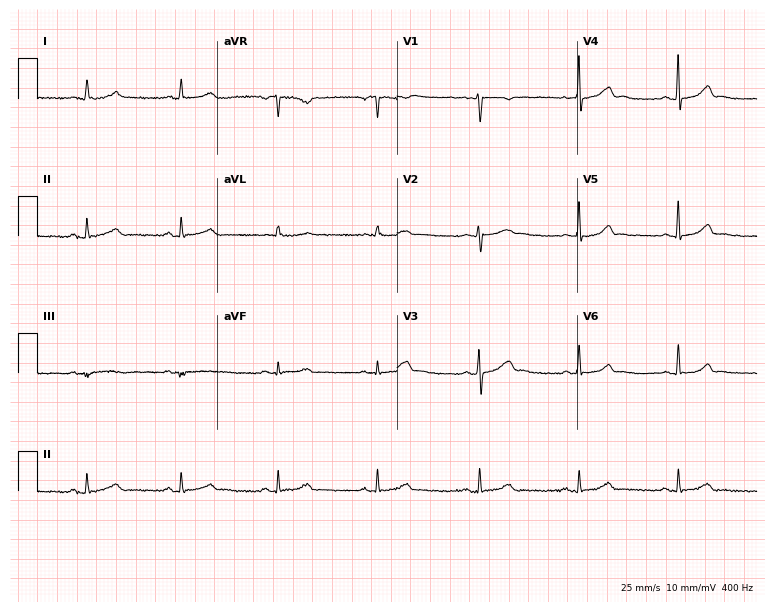
Resting 12-lead electrocardiogram (7.3-second recording at 400 Hz). Patient: a 42-year-old female. Read as a normal ECG.